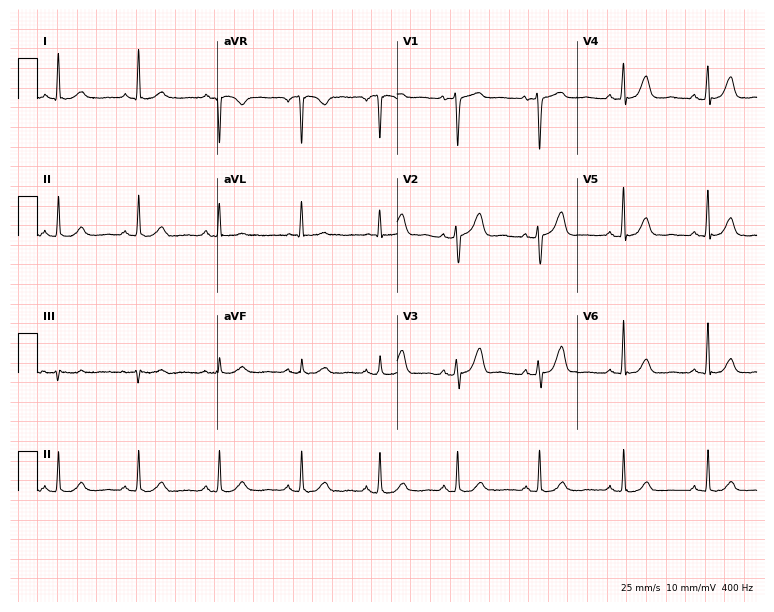
Electrocardiogram, a female, 63 years old. Overall reading on record: normal ECG.